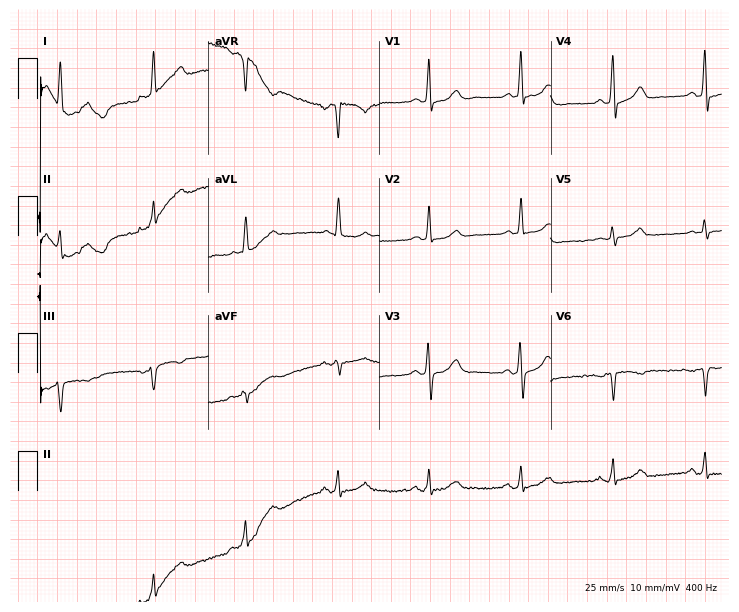
ECG — a male, 54 years old. Screened for six findings — first-degree AV block, right bundle branch block (RBBB), left bundle branch block (LBBB), sinus bradycardia, atrial fibrillation (AF), sinus tachycardia — none is recorded.